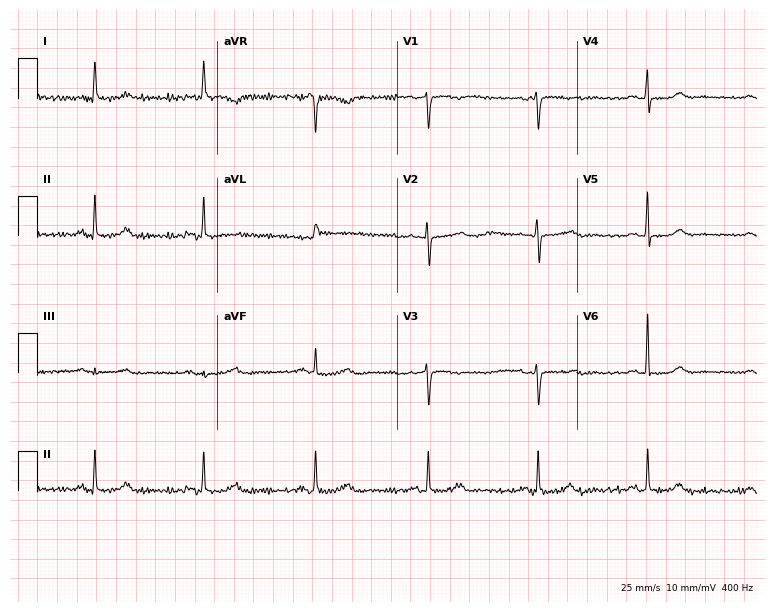
Electrocardiogram (7.3-second recording at 400 Hz), a female, 67 years old. Of the six screened findings (first-degree AV block, right bundle branch block, left bundle branch block, sinus bradycardia, atrial fibrillation, sinus tachycardia), none is recorded. Only these six findings were labelled.